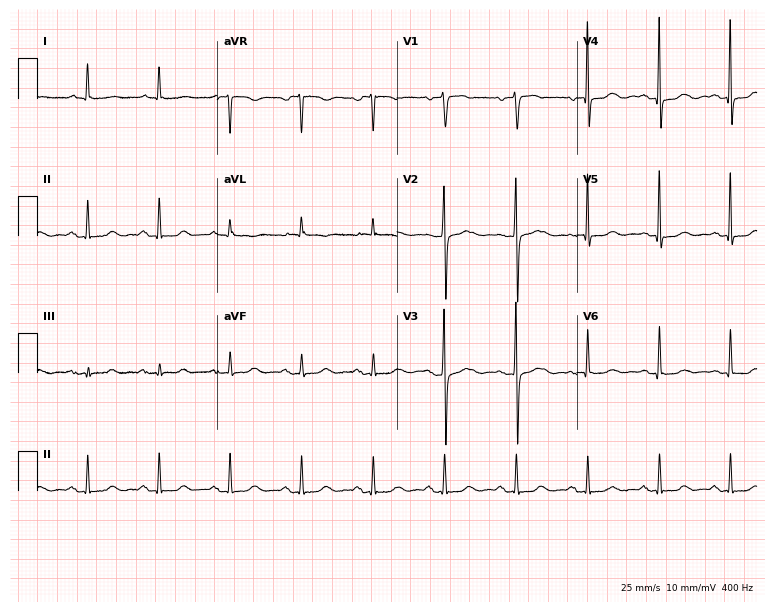
12-lead ECG from a female patient, 85 years old. Screened for six findings — first-degree AV block, right bundle branch block, left bundle branch block, sinus bradycardia, atrial fibrillation, sinus tachycardia — none is recorded. Only these six findings were labelled.